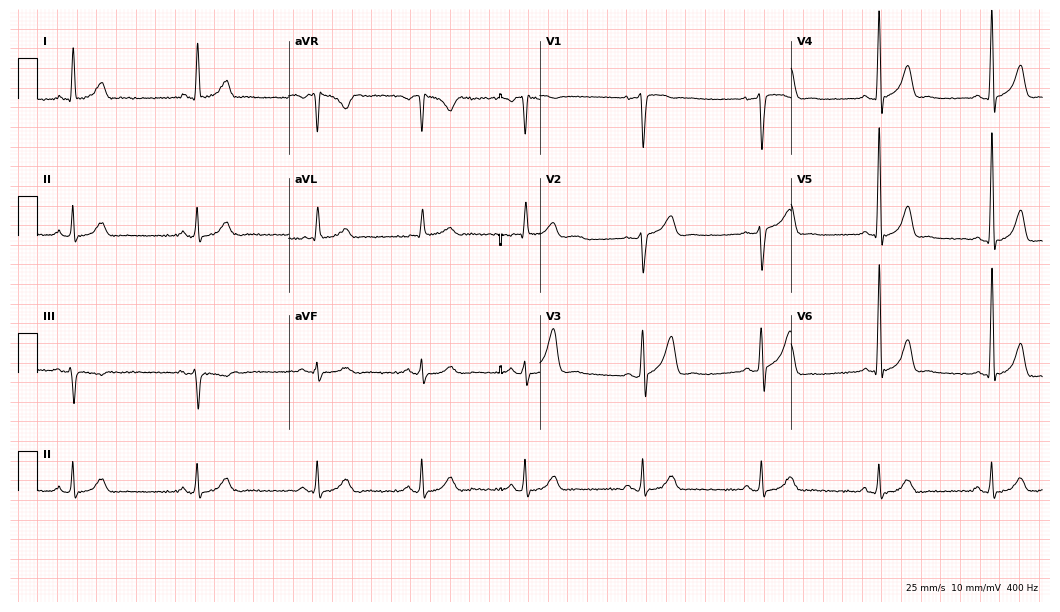
12-lead ECG from a man, 51 years old. No first-degree AV block, right bundle branch block, left bundle branch block, sinus bradycardia, atrial fibrillation or sinus tachycardia recorded for this tracing.